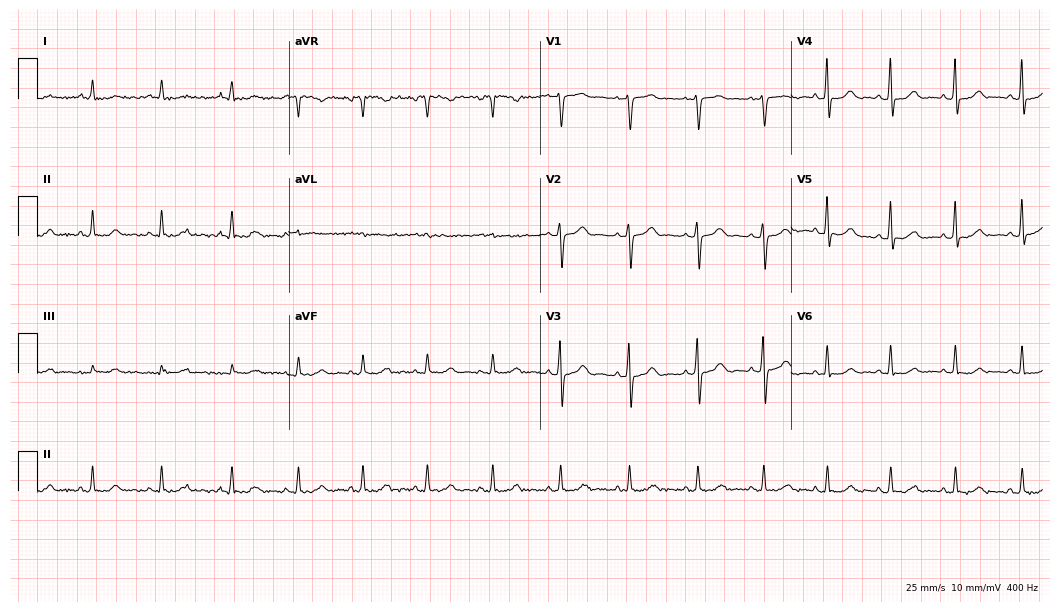
Resting 12-lead electrocardiogram. Patient: a female, 56 years old. Read as a normal ECG.